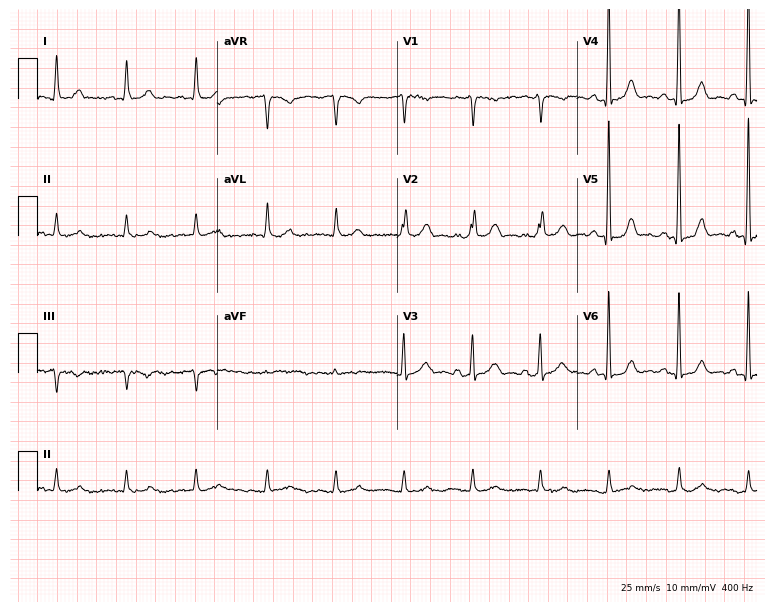
ECG (7.3-second recording at 400 Hz) — a 42-year-old female. Labelled as a normal ECG.